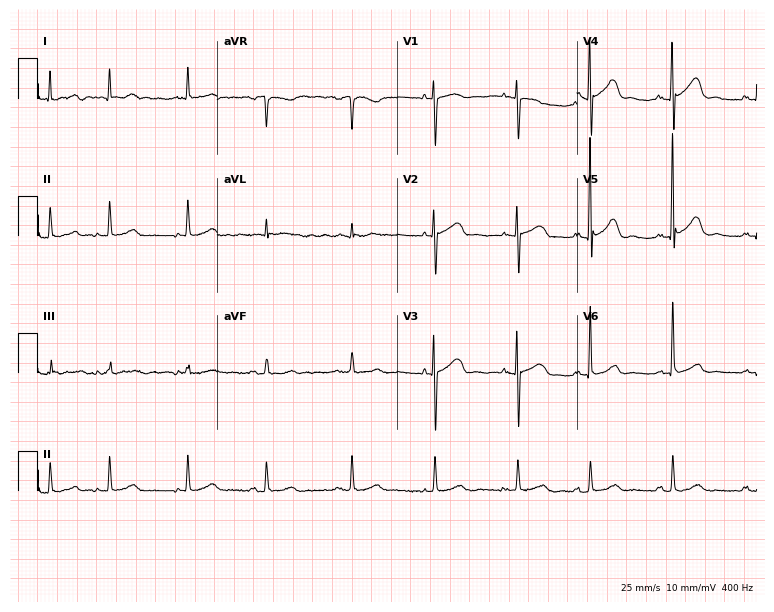
ECG (7.3-second recording at 400 Hz) — a 73-year-old woman. Screened for six findings — first-degree AV block, right bundle branch block (RBBB), left bundle branch block (LBBB), sinus bradycardia, atrial fibrillation (AF), sinus tachycardia — none is recorded. Findings outside these six are not listed.